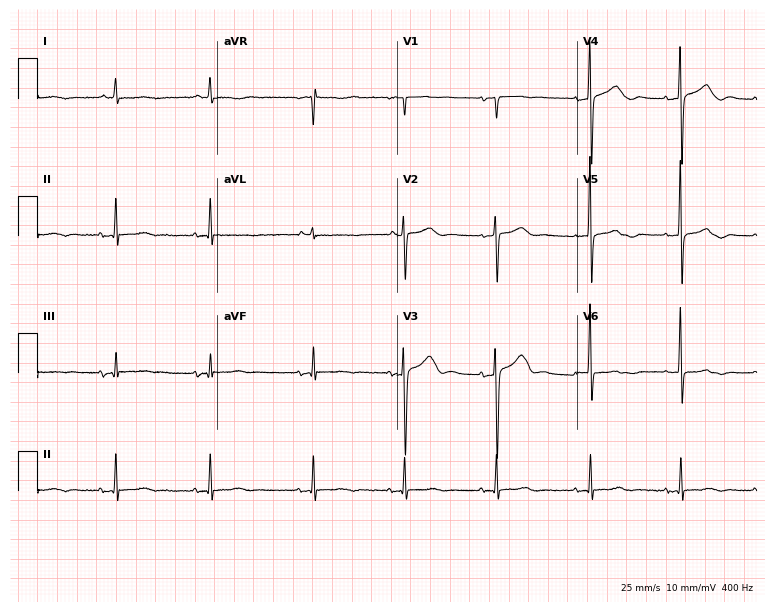
ECG (7.3-second recording at 400 Hz) — an 84-year-old female patient. Screened for six findings — first-degree AV block, right bundle branch block, left bundle branch block, sinus bradycardia, atrial fibrillation, sinus tachycardia — none is recorded. Findings outside these six are not listed.